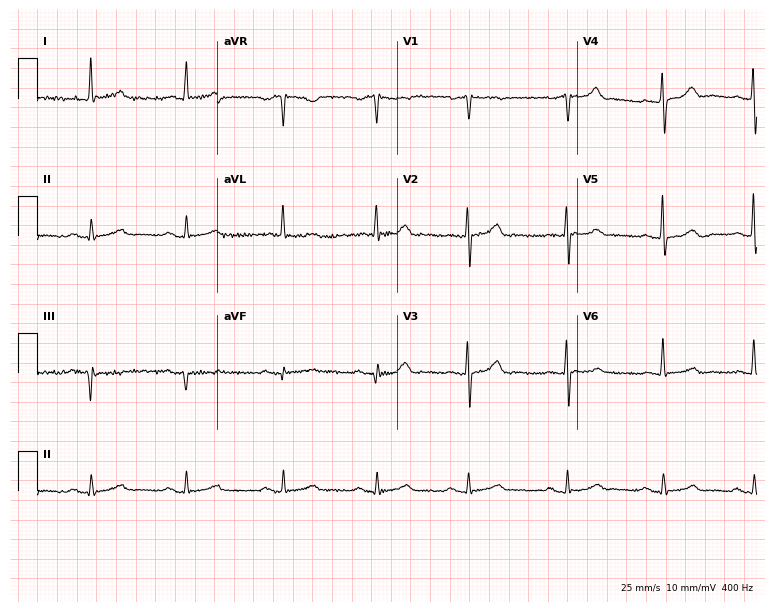
ECG — a 58-year-old female patient. Labelled as a normal ECG.